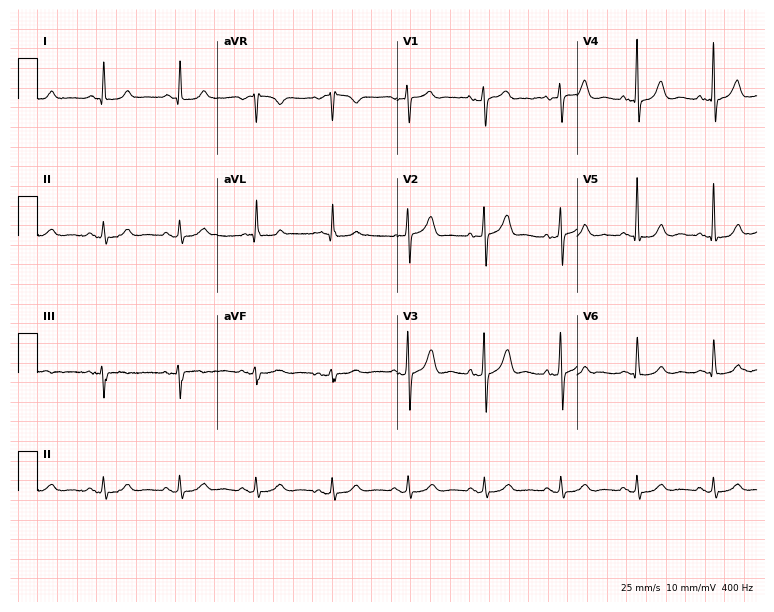
Electrocardiogram, a 71-year-old male patient. Of the six screened findings (first-degree AV block, right bundle branch block (RBBB), left bundle branch block (LBBB), sinus bradycardia, atrial fibrillation (AF), sinus tachycardia), none is recorded.